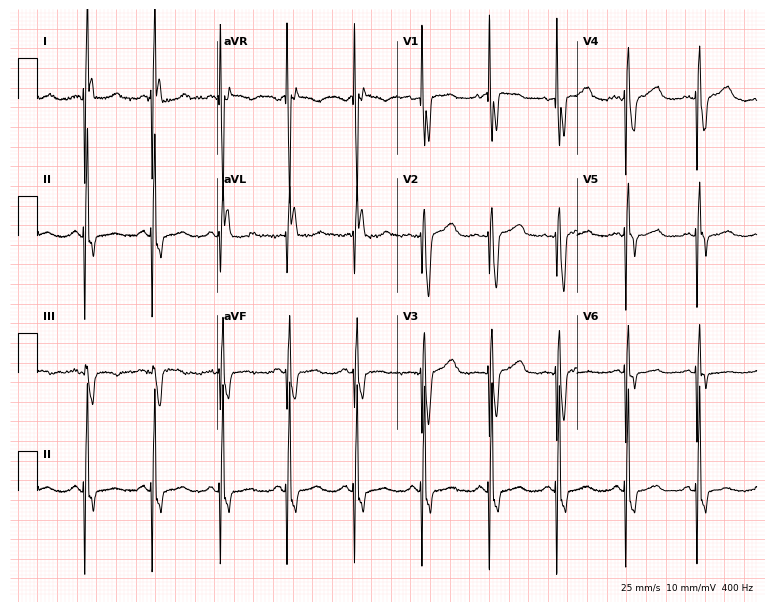
12-lead ECG from a woman, 51 years old. Screened for six findings — first-degree AV block, right bundle branch block (RBBB), left bundle branch block (LBBB), sinus bradycardia, atrial fibrillation (AF), sinus tachycardia — none is recorded.